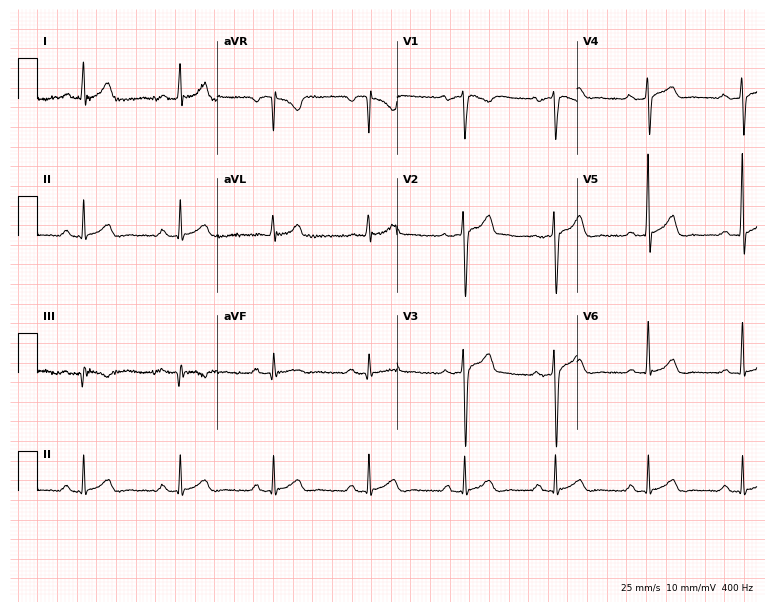
12-lead ECG from a male, 44 years old (7.3-second recording at 400 Hz). No first-degree AV block, right bundle branch block, left bundle branch block, sinus bradycardia, atrial fibrillation or sinus tachycardia recorded for this tracing. Other findings, if any, are not listed.